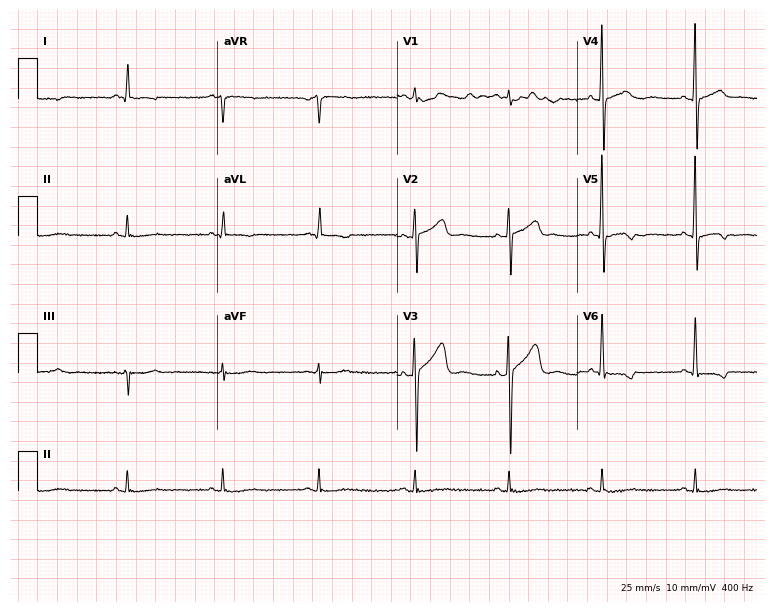
12-lead ECG from a 68-year-old man. Screened for six findings — first-degree AV block, right bundle branch block, left bundle branch block, sinus bradycardia, atrial fibrillation, sinus tachycardia — none is recorded.